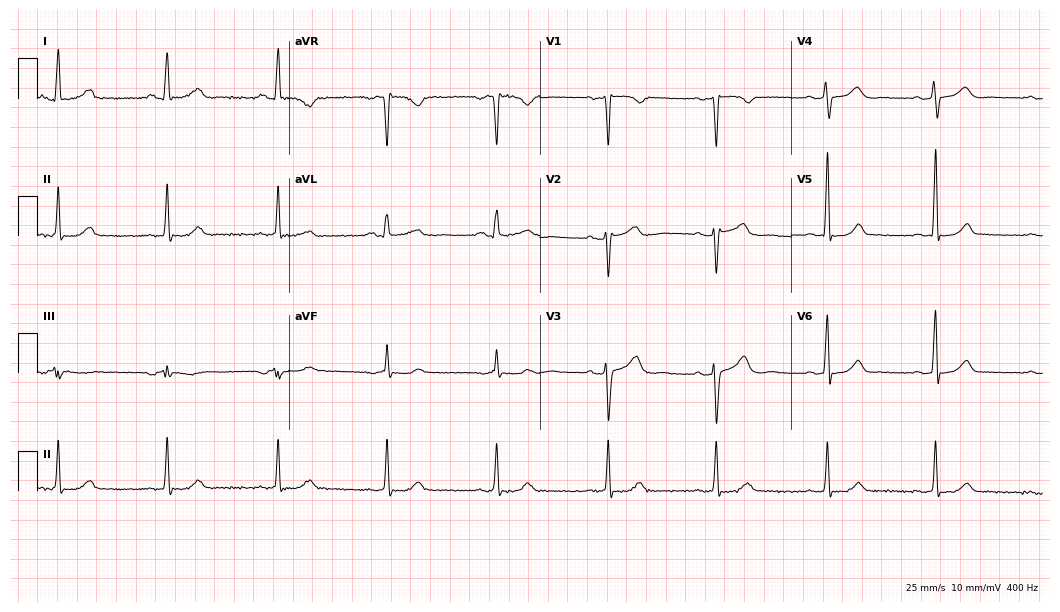
12-lead ECG (10.2-second recording at 400 Hz) from a 40-year-old woman. Labelled as a normal ECG.